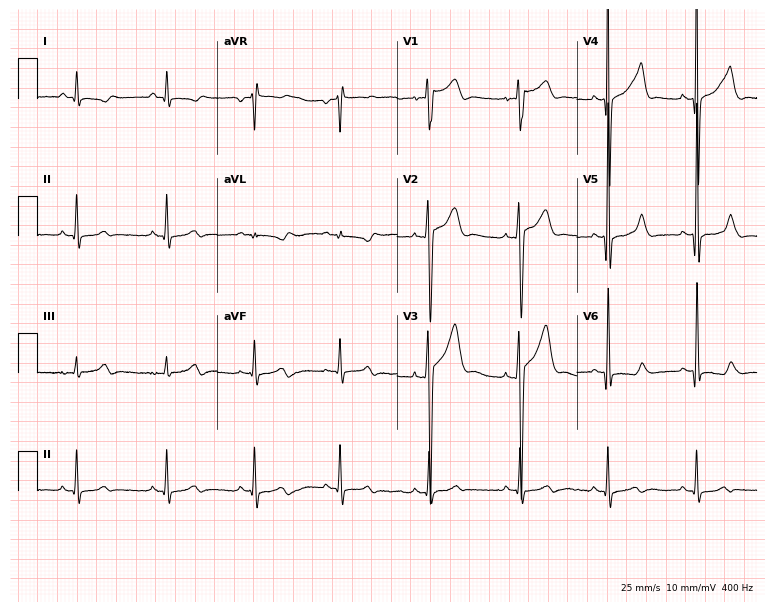
ECG (7.3-second recording at 400 Hz) — a 19-year-old female. Screened for six findings — first-degree AV block, right bundle branch block (RBBB), left bundle branch block (LBBB), sinus bradycardia, atrial fibrillation (AF), sinus tachycardia — none is recorded.